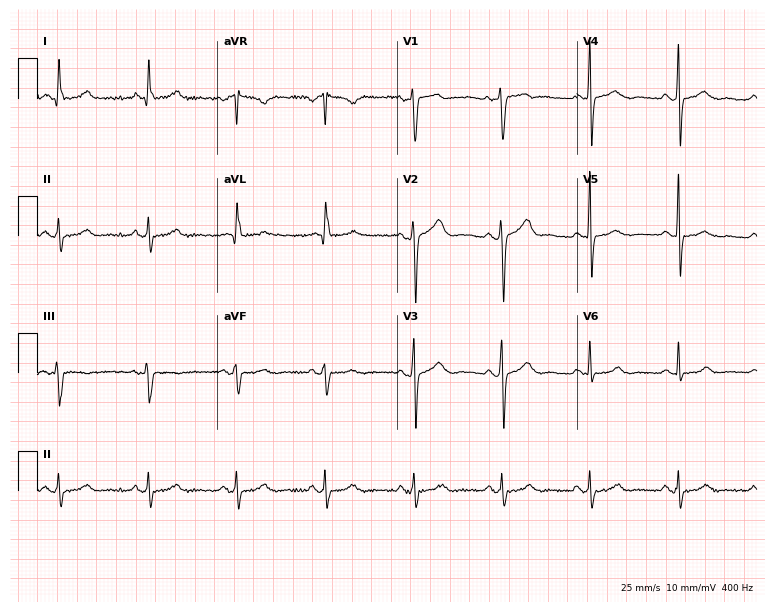
Standard 12-lead ECG recorded from a male patient, 50 years old. None of these six findings is recorded: first-degree AV block, right bundle branch block (RBBB), left bundle branch block (LBBB), sinus bradycardia, atrial fibrillation (AF), sinus tachycardia.